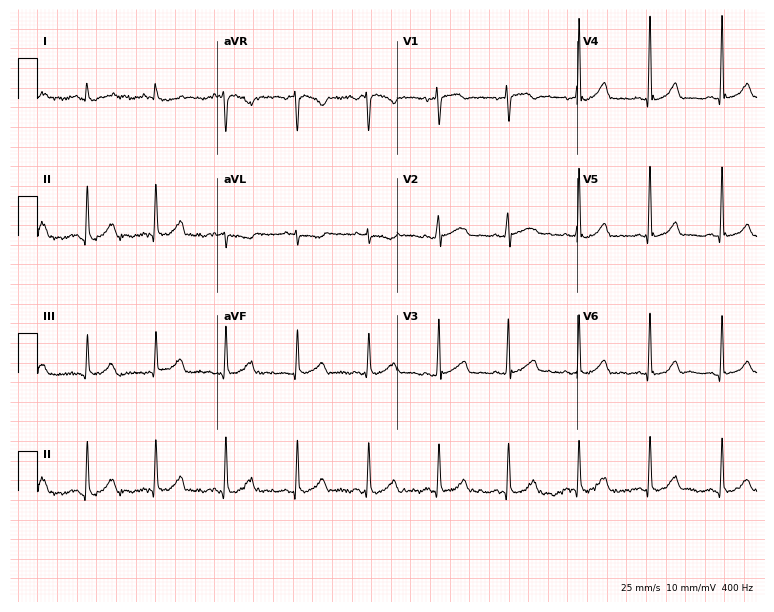
Standard 12-lead ECG recorded from a woman, 60 years old. None of these six findings is recorded: first-degree AV block, right bundle branch block (RBBB), left bundle branch block (LBBB), sinus bradycardia, atrial fibrillation (AF), sinus tachycardia.